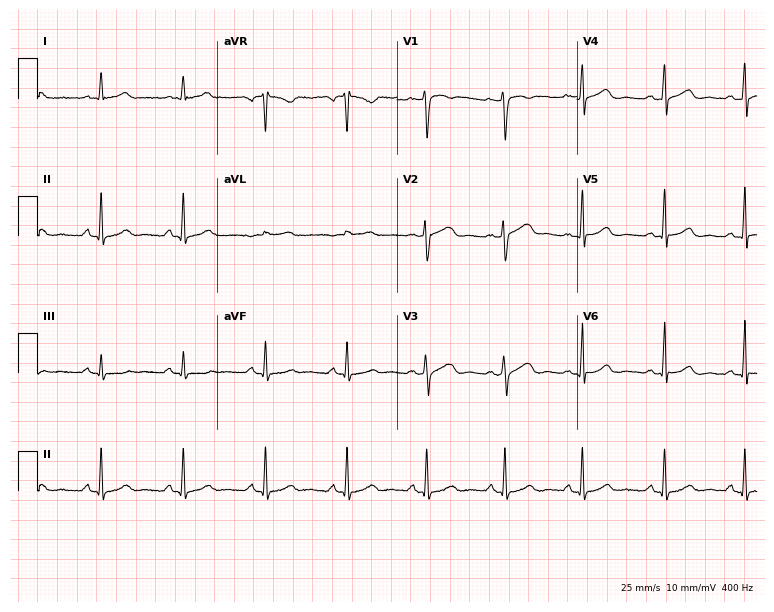
12-lead ECG from a female, 40 years old (7.3-second recording at 400 Hz). Recorded interpretation: within normal limits.